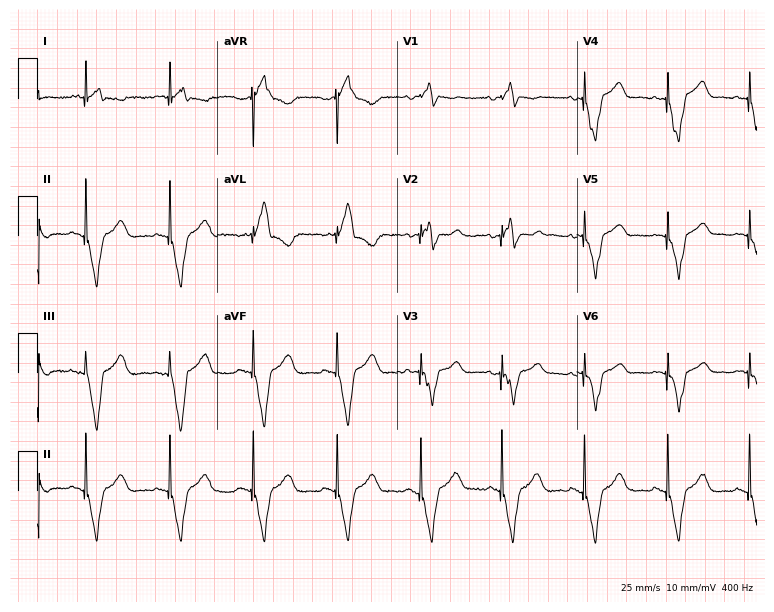
12-lead ECG (7.3-second recording at 400 Hz) from a 75-year-old male. Screened for six findings — first-degree AV block, right bundle branch block, left bundle branch block, sinus bradycardia, atrial fibrillation, sinus tachycardia — none is recorded.